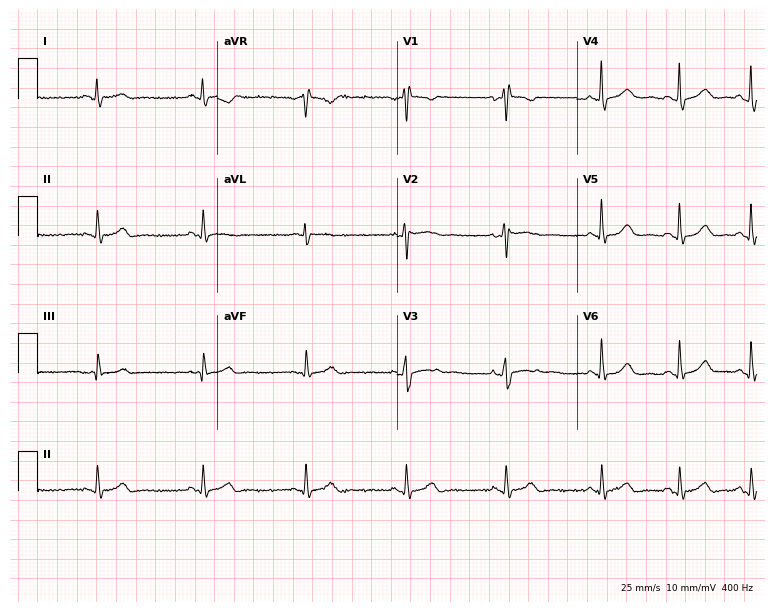
Standard 12-lead ECG recorded from a 58-year-old female patient. None of these six findings is recorded: first-degree AV block, right bundle branch block (RBBB), left bundle branch block (LBBB), sinus bradycardia, atrial fibrillation (AF), sinus tachycardia.